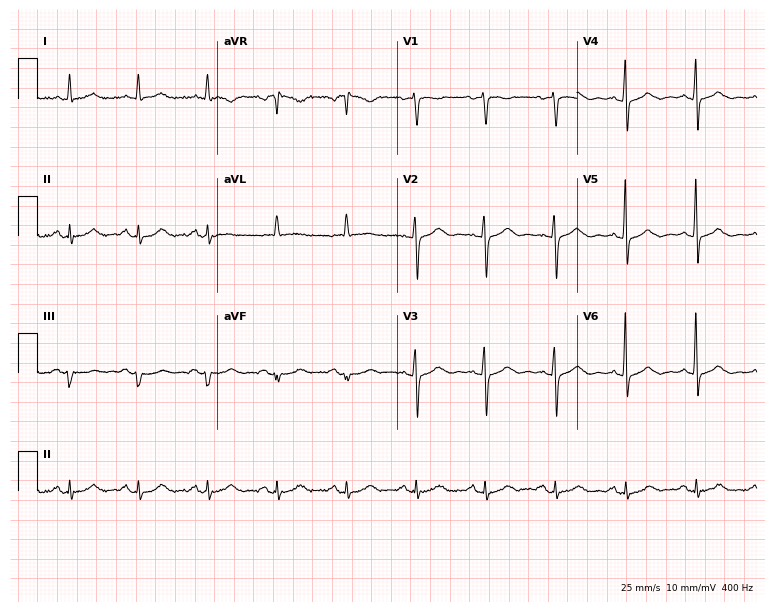
Resting 12-lead electrocardiogram. Patient: a female, 66 years old. None of these six findings is recorded: first-degree AV block, right bundle branch block (RBBB), left bundle branch block (LBBB), sinus bradycardia, atrial fibrillation (AF), sinus tachycardia. Findings outside these six are not listed.